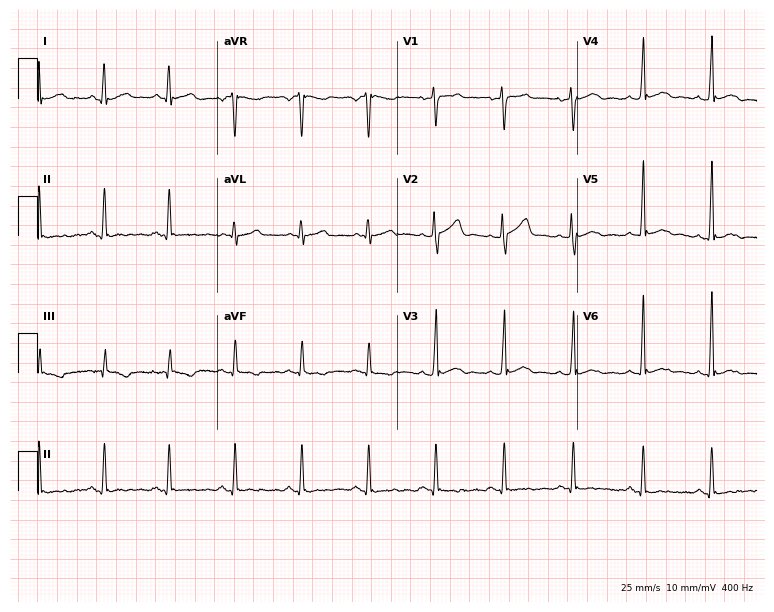
Resting 12-lead electrocardiogram (7.3-second recording at 400 Hz). Patient: a male, 41 years old. Read as a normal ECG.